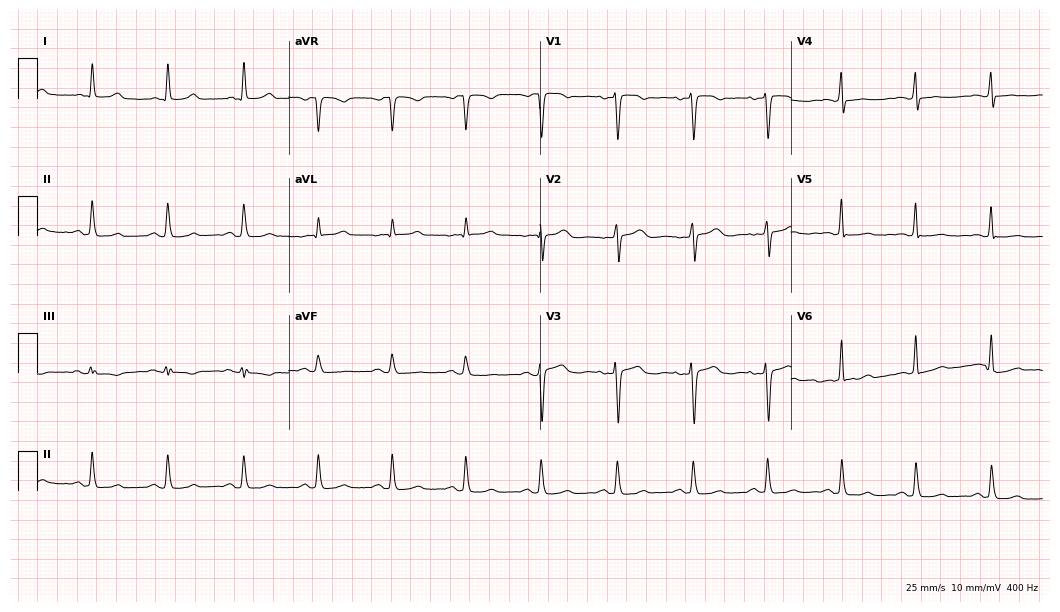
12-lead ECG from a 53-year-old female. Recorded interpretation: within normal limits.